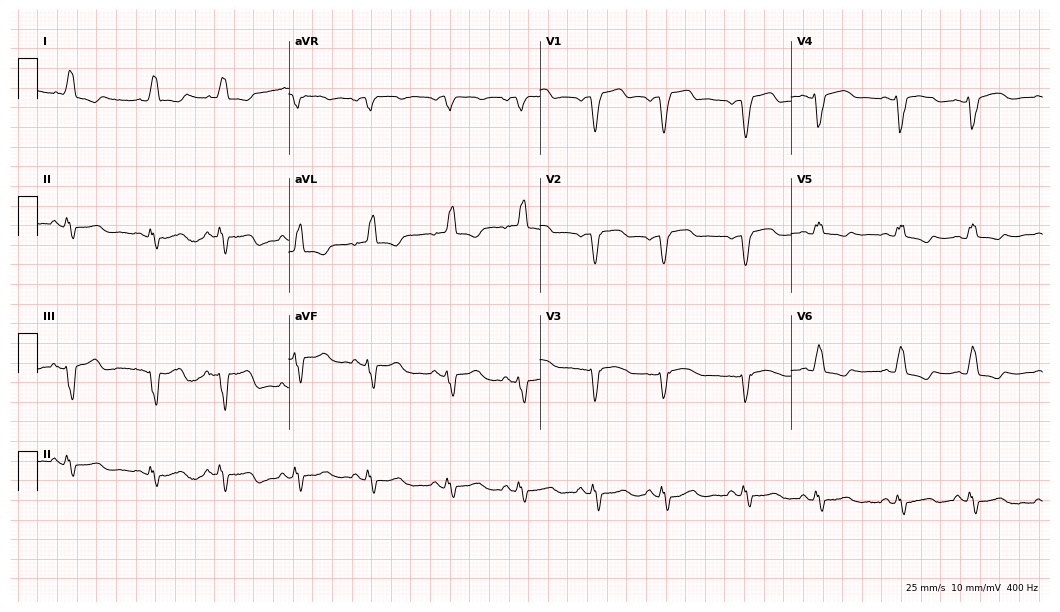
Resting 12-lead electrocardiogram. Patient: an 83-year-old female. The tracing shows left bundle branch block.